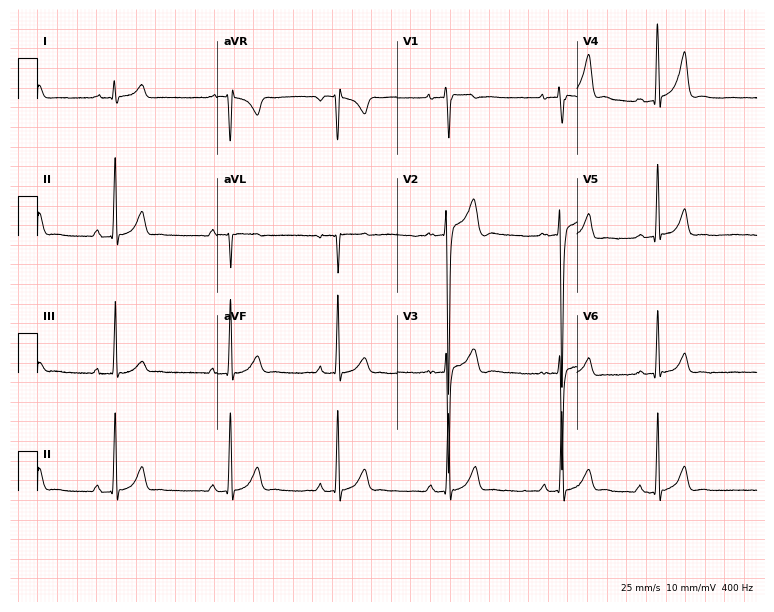
12-lead ECG from a male patient, 20 years old (7.3-second recording at 400 Hz). No first-degree AV block, right bundle branch block, left bundle branch block, sinus bradycardia, atrial fibrillation or sinus tachycardia recorded for this tracing.